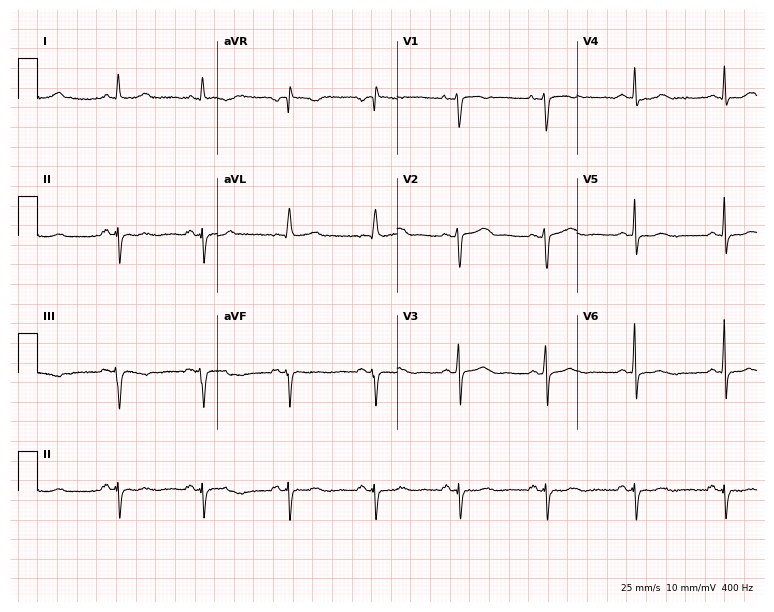
ECG — a woman, 49 years old. Screened for six findings — first-degree AV block, right bundle branch block, left bundle branch block, sinus bradycardia, atrial fibrillation, sinus tachycardia — none is recorded.